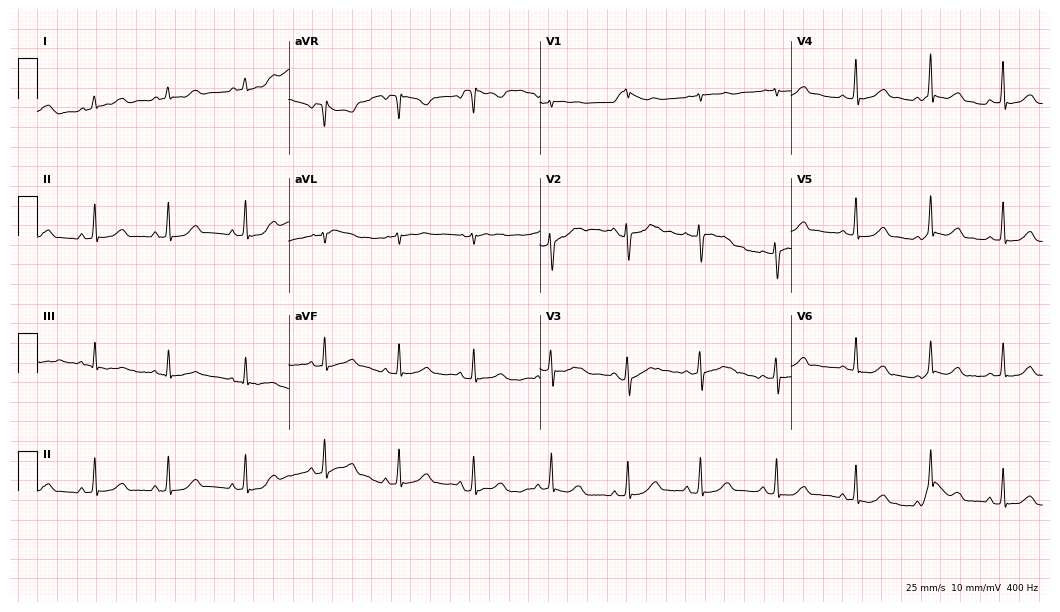
12-lead ECG from a 22-year-old female patient (10.2-second recording at 400 Hz). Recorded interpretation: within normal limits.